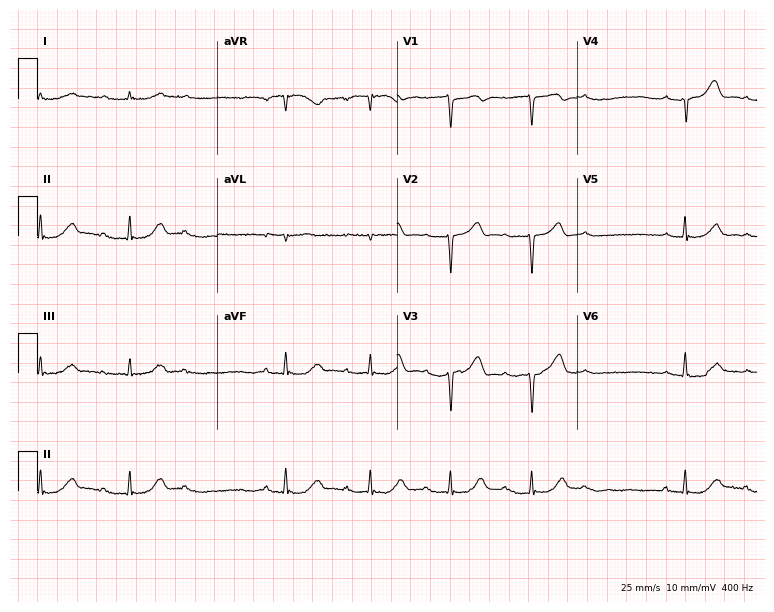
ECG (7.3-second recording at 400 Hz) — a man, 61 years old. Screened for six findings — first-degree AV block, right bundle branch block, left bundle branch block, sinus bradycardia, atrial fibrillation, sinus tachycardia — none is recorded. Only these six findings were labelled.